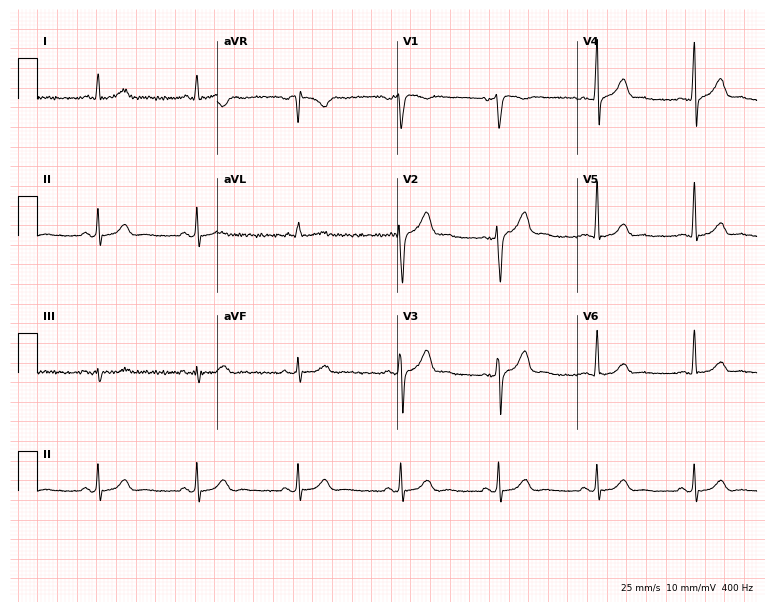
Electrocardiogram, a 42-year-old male. Of the six screened findings (first-degree AV block, right bundle branch block, left bundle branch block, sinus bradycardia, atrial fibrillation, sinus tachycardia), none is recorded. Other findings, if any, are not listed.